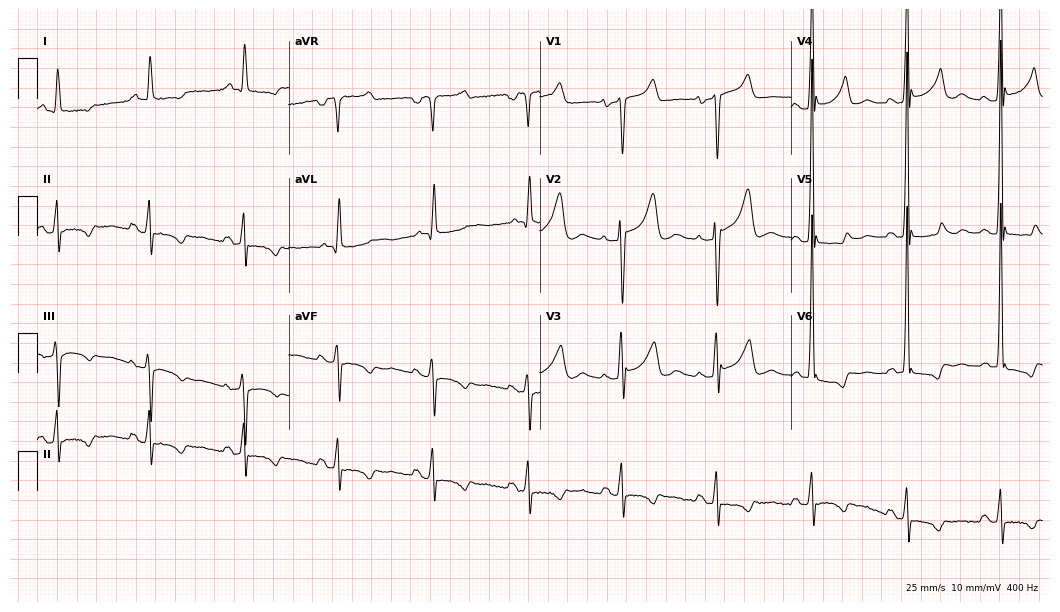
Electrocardiogram, a 46-year-old male patient. Of the six screened findings (first-degree AV block, right bundle branch block, left bundle branch block, sinus bradycardia, atrial fibrillation, sinus tachycardia), none is recorded. Only these six findings were labelled.